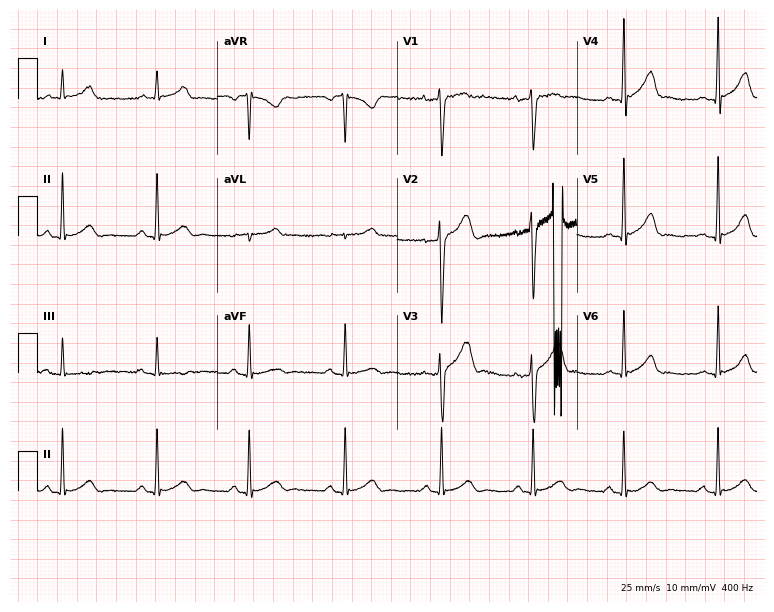
12-lead ECG from a 23-year-old man (7.3-second recording at 400 Hz). Recorded interpretation: within normal limits.